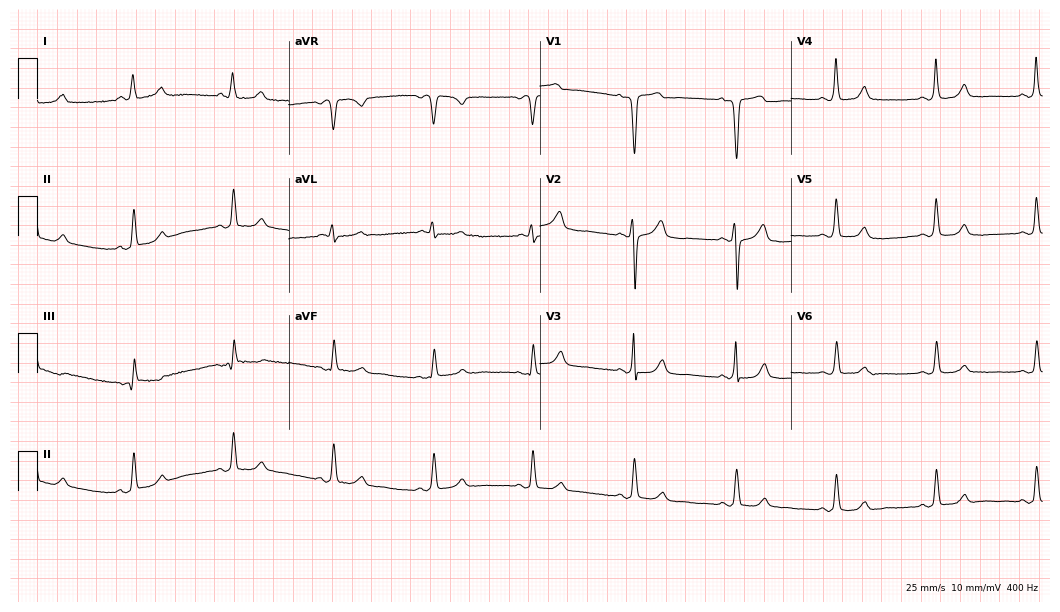
Electrocardiogram (10.2-second recording at 400 Hz), a 76-year-old female. Of the six screened findings (first-degree AV block, right bundle branch block, left bundle branch block, sinus bradycardia, atrial fibrillation, sinus tachycardia), none is recorded.